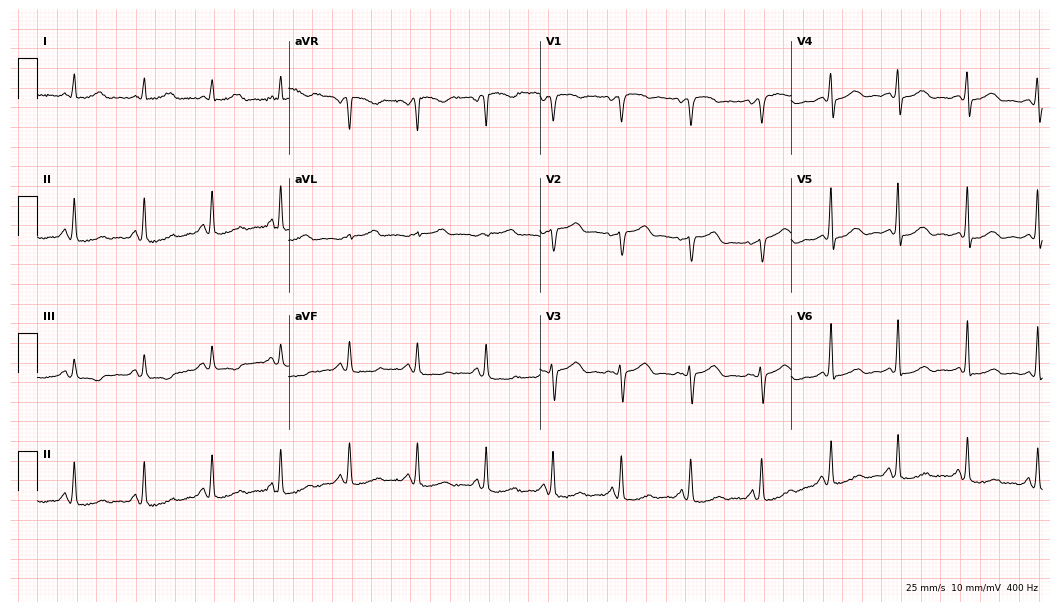
ECG (10.2-second recording at 400 Hz) — a female patient, 52 years old. Screened for six findings — first-degree AV block, right bundle branch block, left bundle branch block, sinus bradycardia, atrial fibrillation, sinus tachycardia — none is recorded. Findings outside these six are not listed.